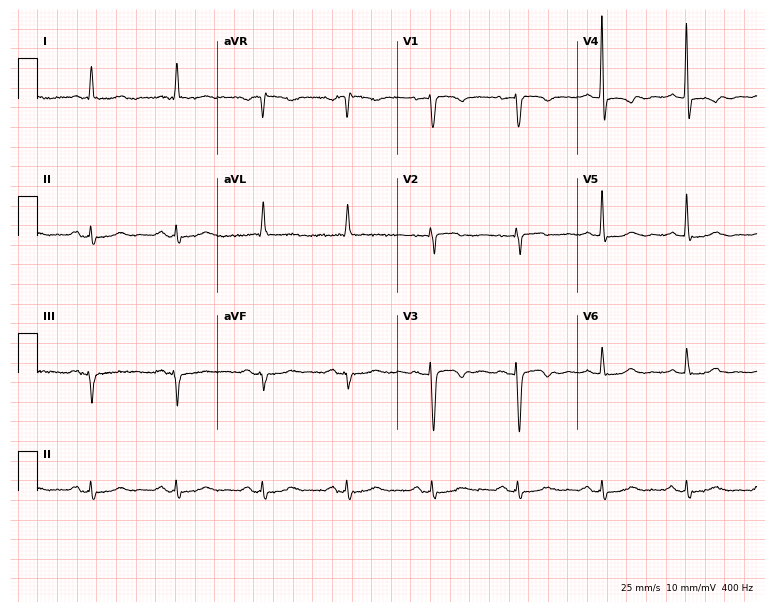
12-lead ECG from a female patient, 71 years old. No first-degree AV block, right bundle branch block (RBBB), left bundle branch block (LBBB), sinus bradycardia, atrial fibrillation (AF) or sinus tachycardia recorded for this tracing.